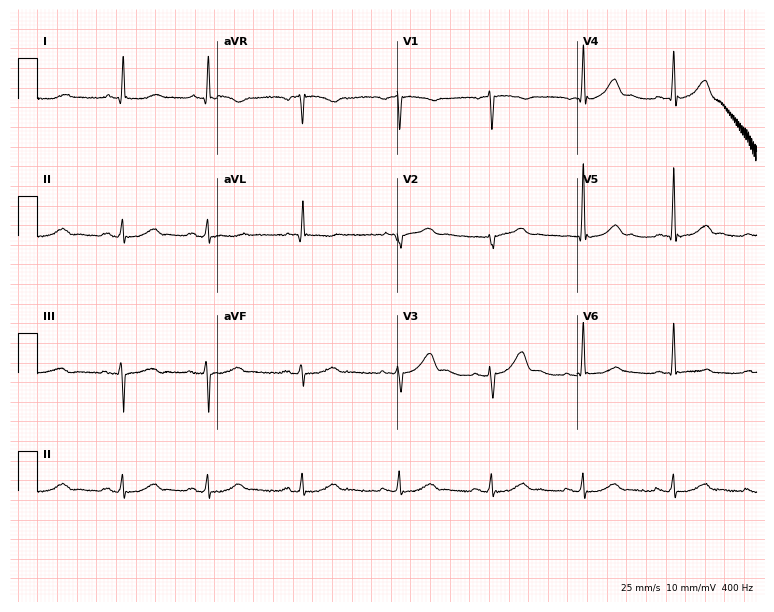
Standard 12-lead ECG recorded from a female patient, 75 years old. None of these six findings is recorded: first-degree AV block, right bundle branch block, left bundle branch block, sinus bradycardia, atrial fibrillation, sinus tachycardia. Findings outside these six are not listed.